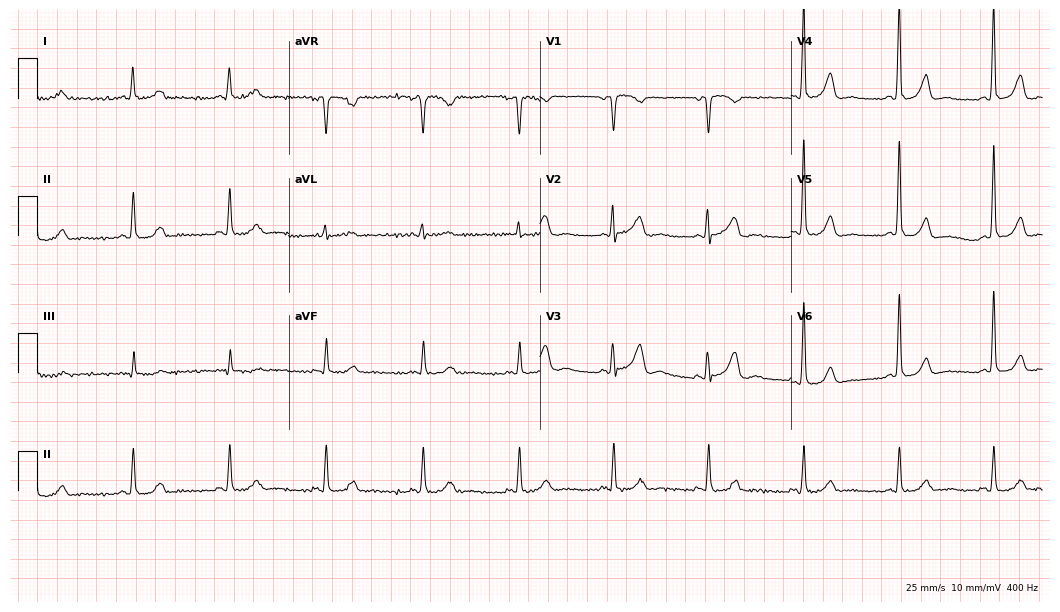
12-lead ECG from an 80-year-old female (10.2-second recording at 400 Hz). No first-degree AV block, right bundle branch block, left bundle branch block, sinus bradycardia, atrial fibrillation or sinus tachycardia recorded for this tracing.